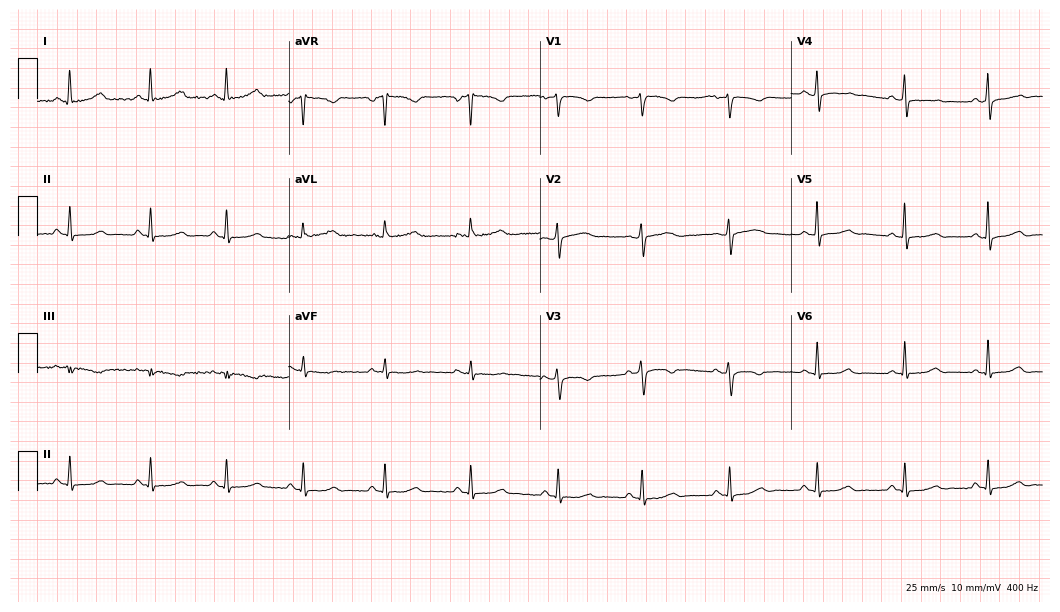
12-lead ECG from a woman, 38 years old (10.2-second recording at 400 Hz). Recorded interpretation: within normal limits.